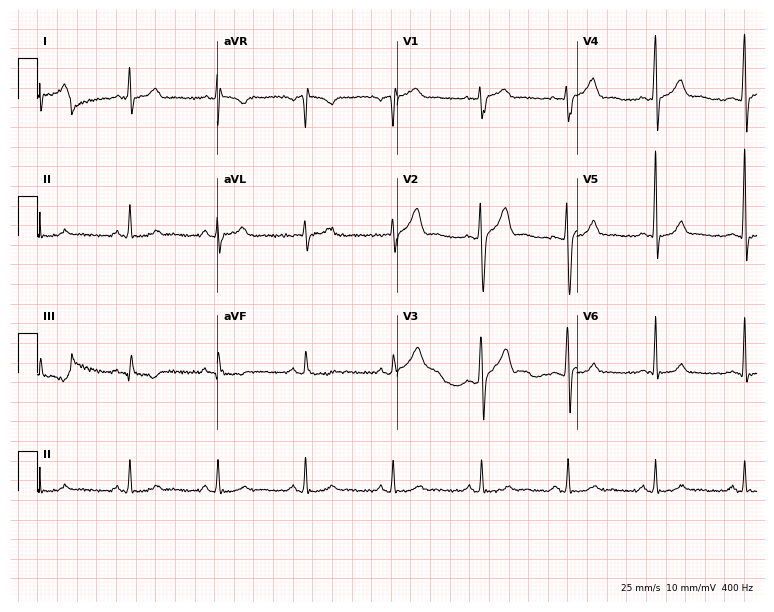
12-lead ECG from a man, 30 years old (7.3-second recording at 400 Hz). Recorded interpretation: within normal limits.